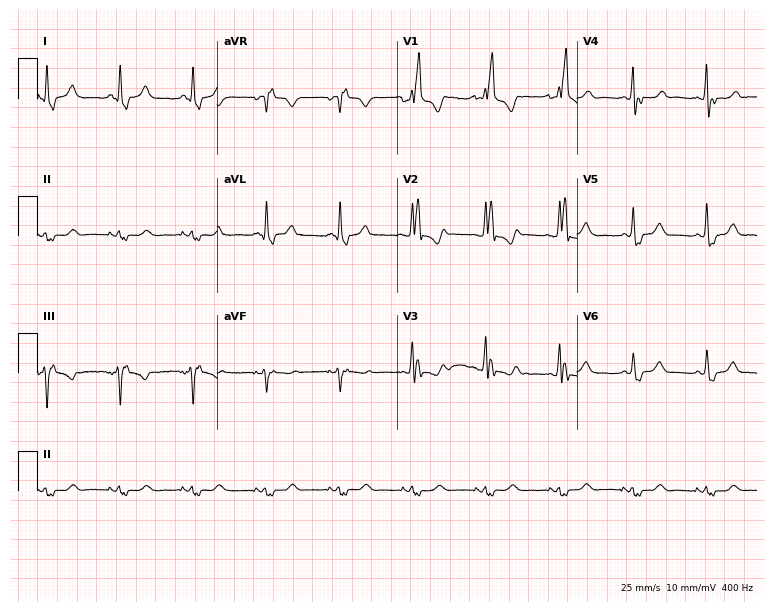
12-lead ECG (7.3-second recording at 400 Hz) from a male patient, 72 years old. Screened for six findings — first-degree AV block, right bundle branch block (RBBB), left bundle branch block (LBBB), sinus bradycardia, atrial fibrillation (AF), sinus tachycardia — none is recorded.